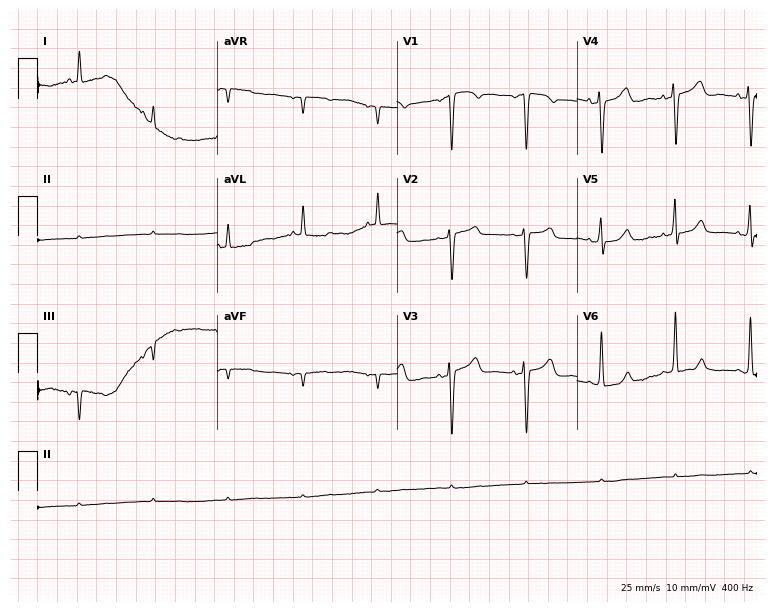
12-lead ECG from a 77-year-old female. Screened for six findings — first-degree AV block, right bundle branch block, left bundle branch block, sinus bradycardia, atrial fibrillation, sinus tachycardia — none is recorded.